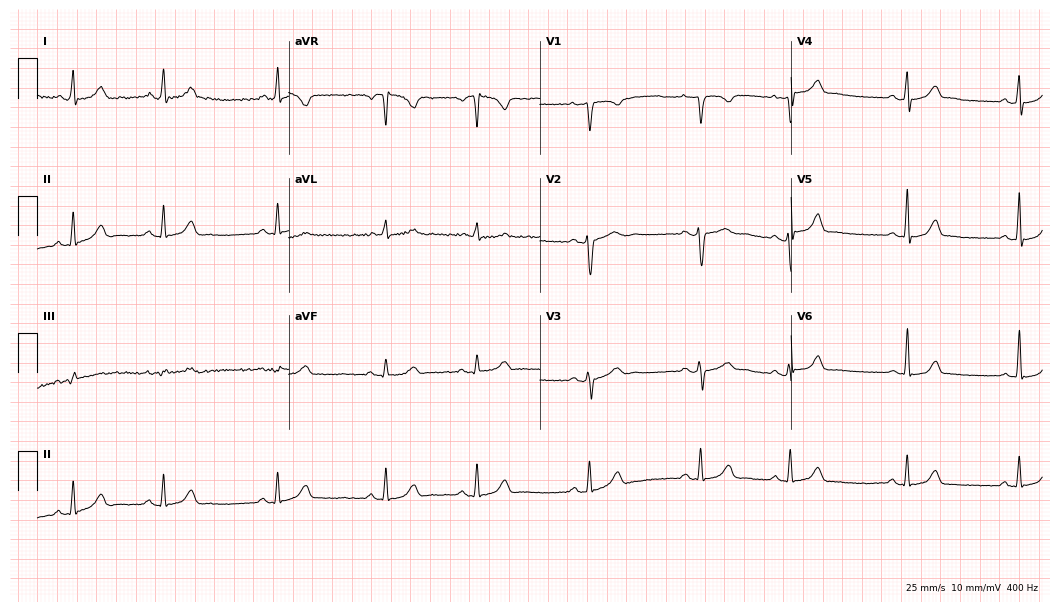
12-lead ECG from a female, 27 years old. Screened for six findings — first-degree AV block, right bundle branch block, left bundle branch block, sinus bradycardia, atrial fibrillation, sinus tachycardia — none is recorded. Findings outside these six are not listed.